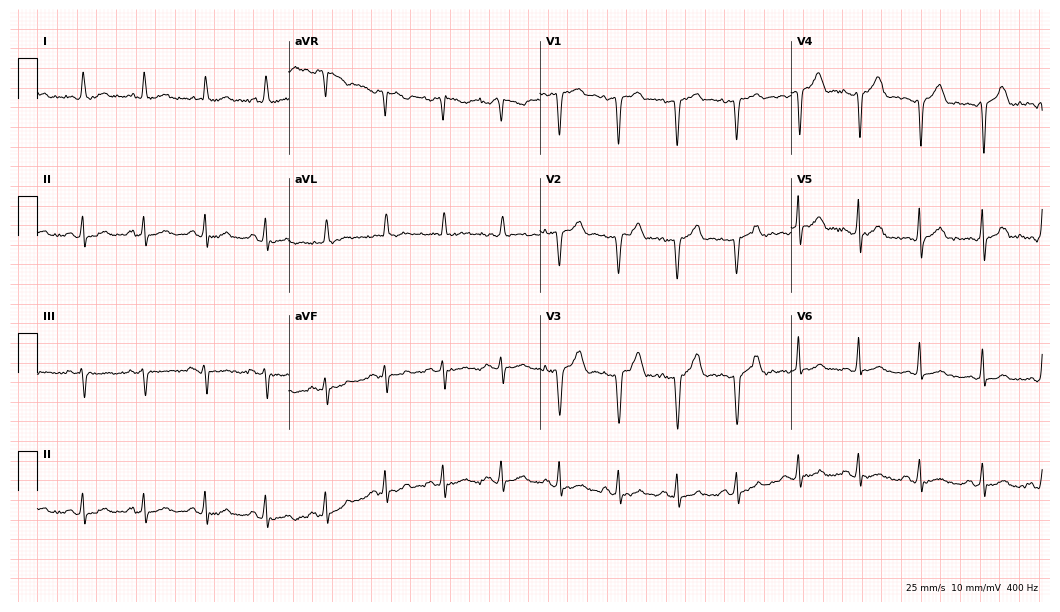
ECG — a female, 50 years old. Screened for six findings — first-degree AV block, right bundle branch block (RBBB), left bundle branch block (LBBB), sinus bradycardia, atrial fibrillation (AF), sinus tachycardia — none is recorded.